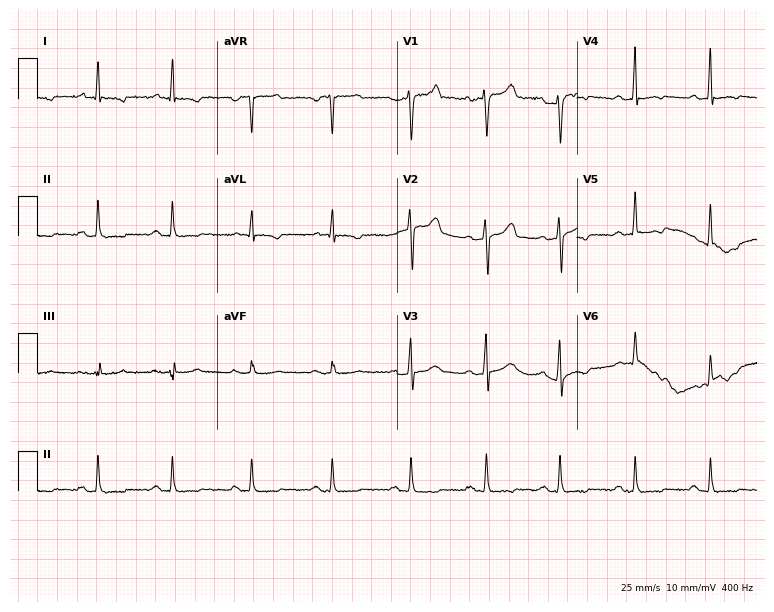
Resting 12-lead electrocardiogram (7.3-second recording at 400 Hz). Patient: a 48-year-old man. None of these six findings is recorded: first-degree AV block, right bundle branch block, left bundle branch block, sinus bradycardia, atrial fibrillation, sinus tachycardia. Findings outside these six are not listed.